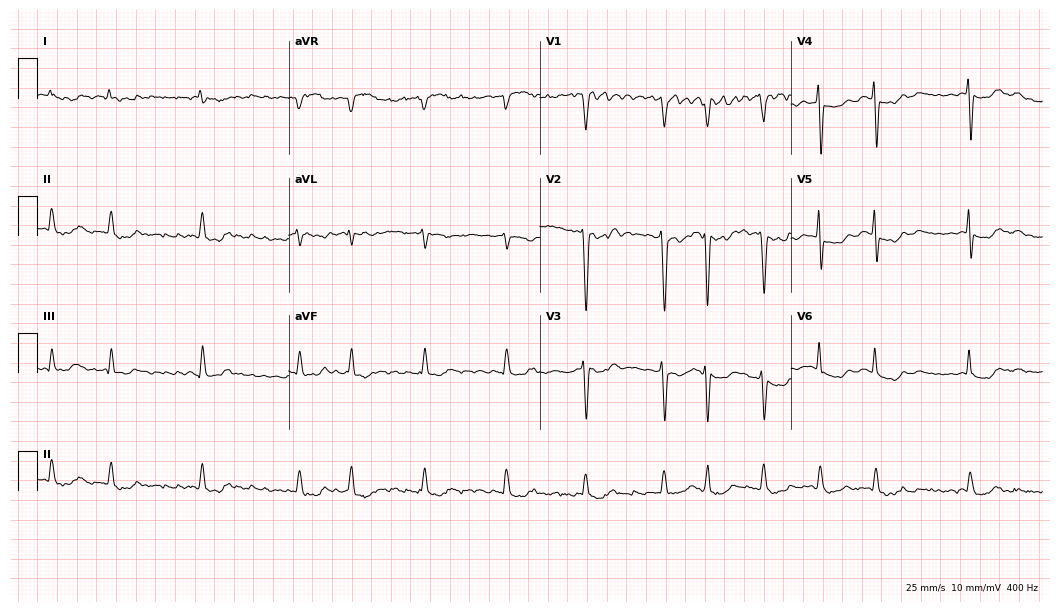
12-lead ECG (10.2-second recording at 400 Hz) from a 61-year-old woman. Findings include atrial fibrillation.